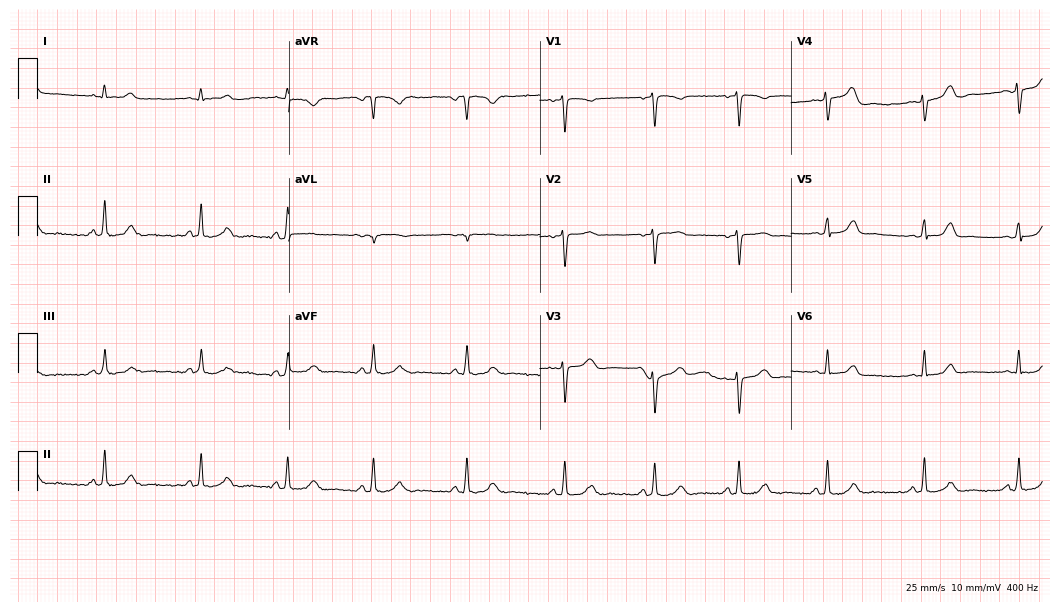
12-lead ECG from a 27-year-old female. Labelled as a normal ECG.